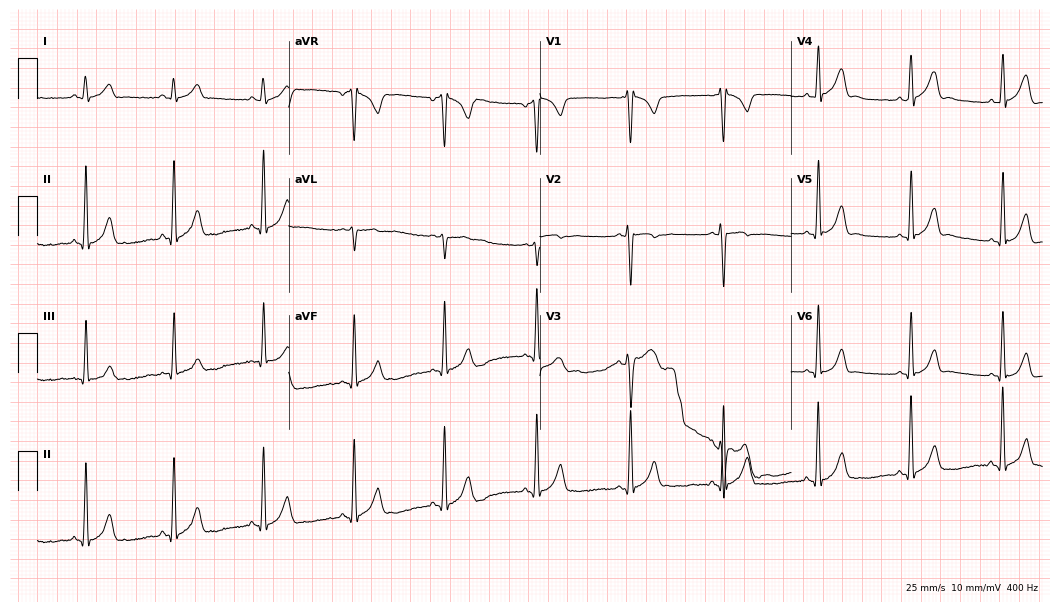
12-lead ECG (10.2-second recording at 400 Hz) from a male patient, 19 years old. Labelled as a normal ECG.